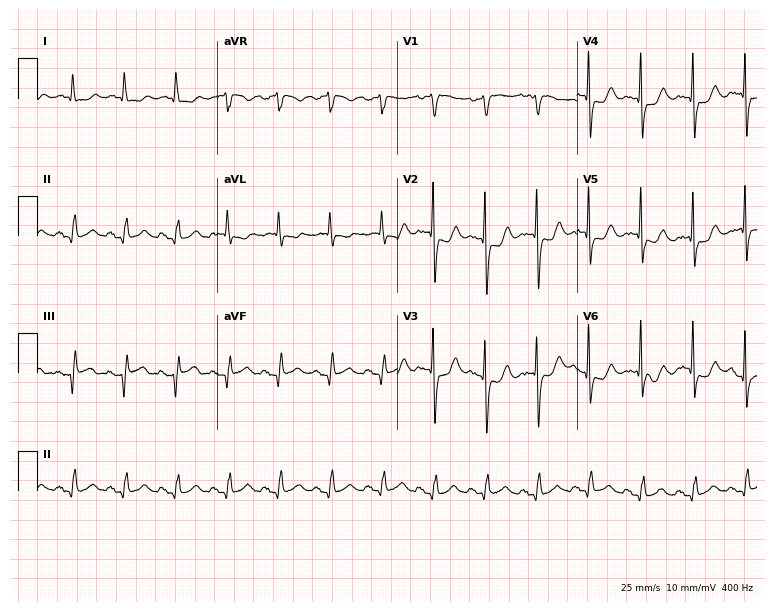
ECG (7.3-second recording at 400 Hz) — an 89-year-old woman. Findings include sinus tachycardia (a sinus rate of 100 beats per minute or more).